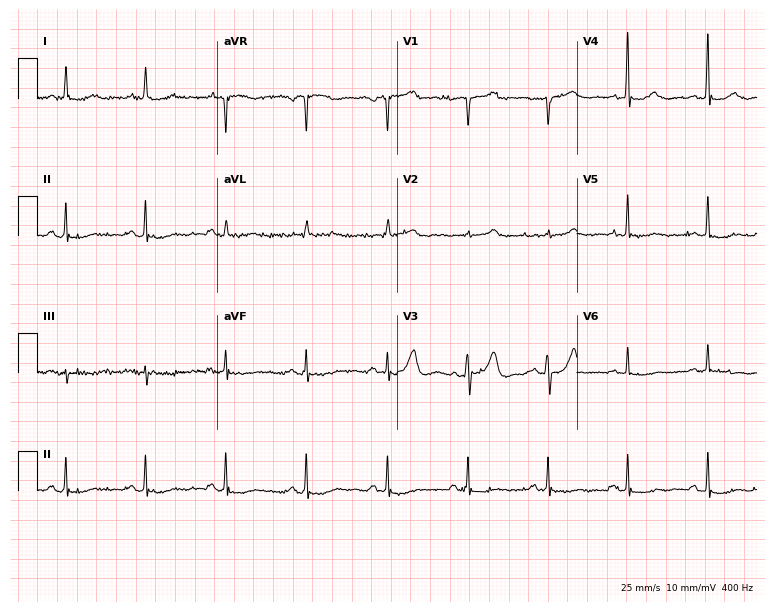
Electrocardiogram, an 84-year-old male. Of the six screened findings (first-degree AV block, right bundle branch block, left bundle branch block, sinus bradycardia, atrial fibrillation, sinus tachycardia), none is recorded. Only these six findings were labelled.